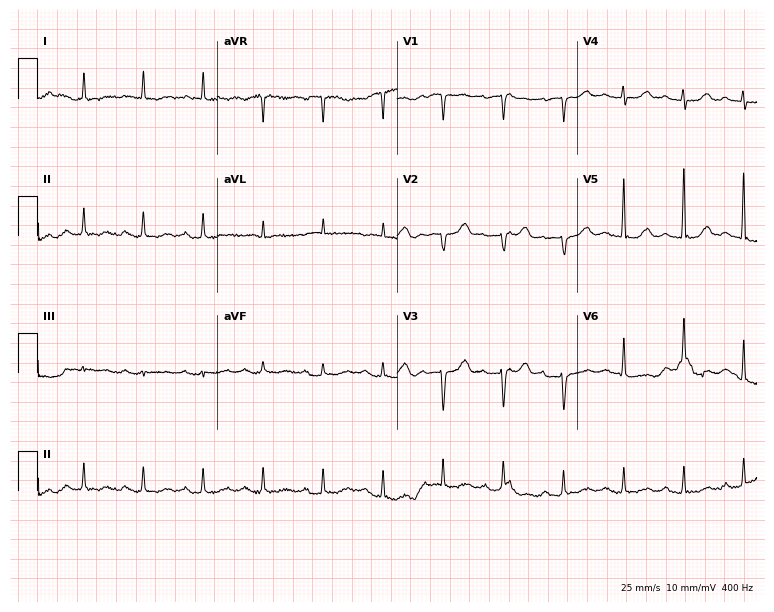
Standard 12-lead ECG recorded from a woman, 81 years old. None of these six findings is recorded: first-degree AV block, right bundle branch block, left bundle branch block, sinus bradycardia, atrial fibrillation, sinus tachycardia. Findings outside these six are not listed.